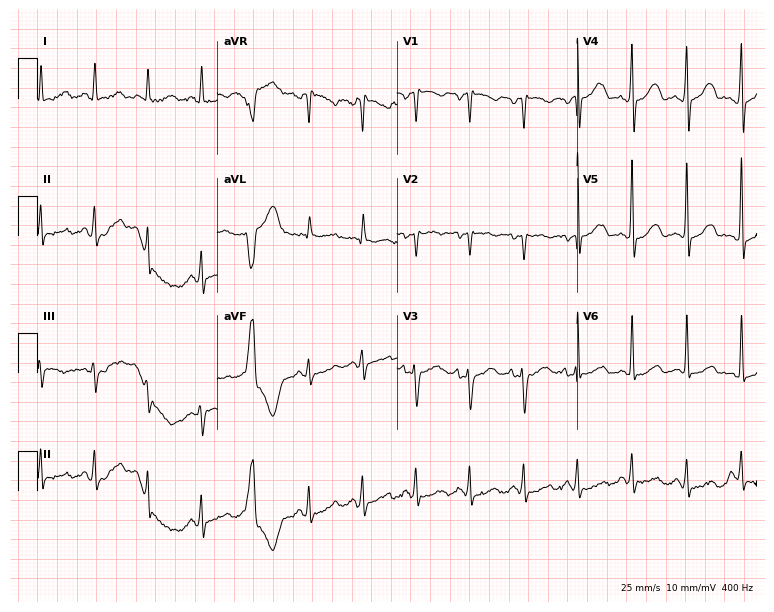
Standard 12-lead ECG recorded from a female, 44 years old. None of these six findings is recorded: first-degree AV block, right bundle branch block, left bundle branch block, sinus bradycardia, atrial fibrillation, sinus tachycardia.